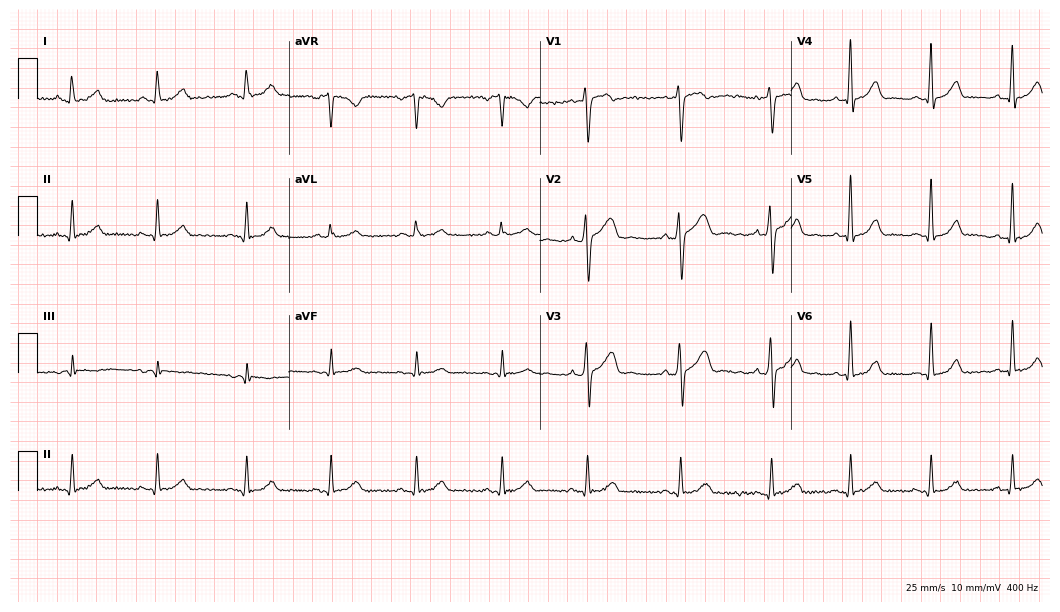
Resting 12-lead electrocardiogram. Patient: a 38-year-old male. Read as a normal ECG.